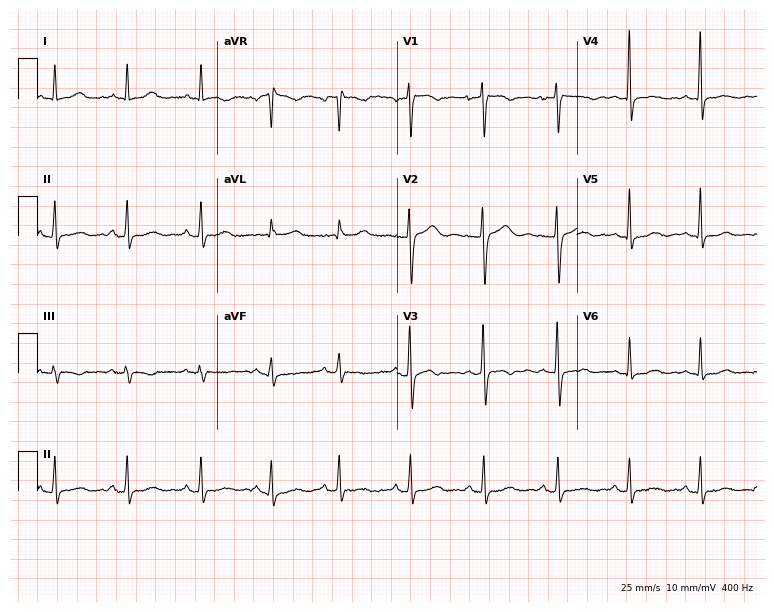
Standard 12-lead ECG recorded from a woman, 36 years old (7.3-second recording at 400 Hz). Read as a normal ECG.